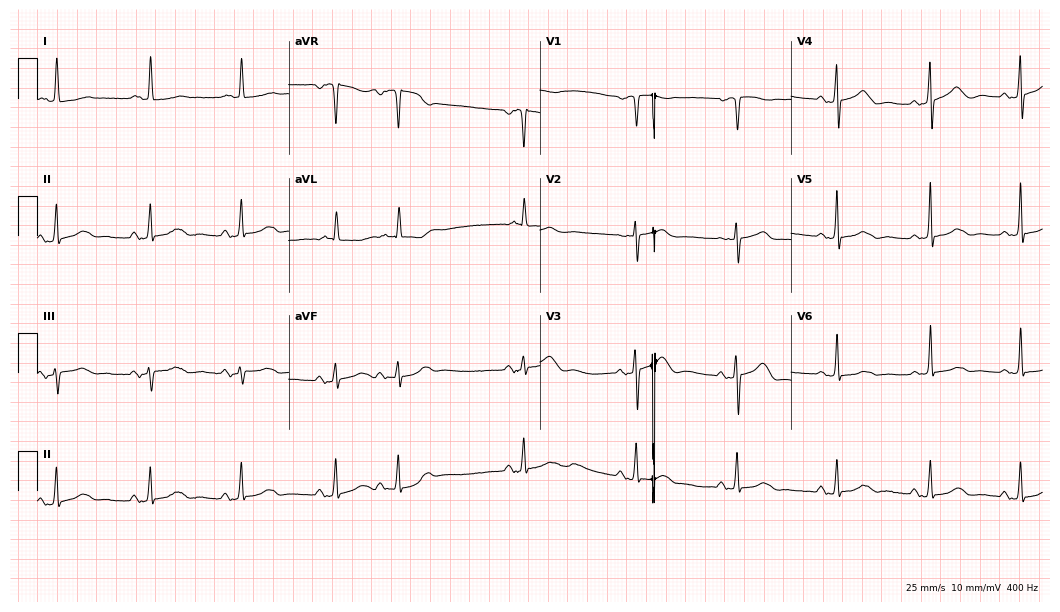
Electrocardiogram, a woman, 83 years old. Overall reading on record: normal ECG.